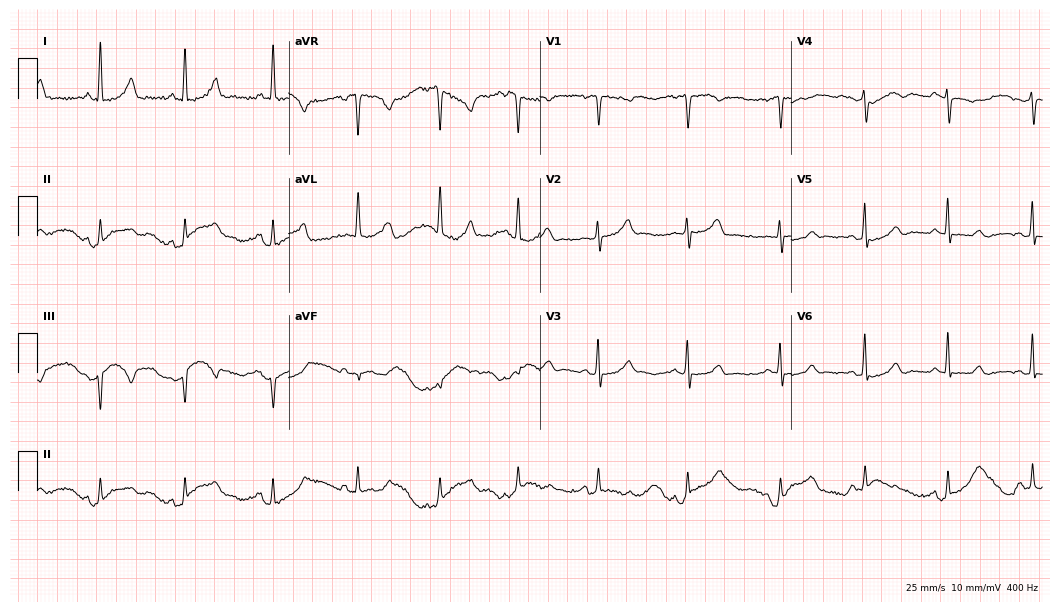
Resting 12-lead electrocardiogram. Patient: a woman, 49 years old. None of these six findings is recorded: first-degree AV block, right bundle branch block, left bundle branch block, sinus bradycardia, atrial fibrillation, sinus tachycardia. Findings outside these six are not listed.